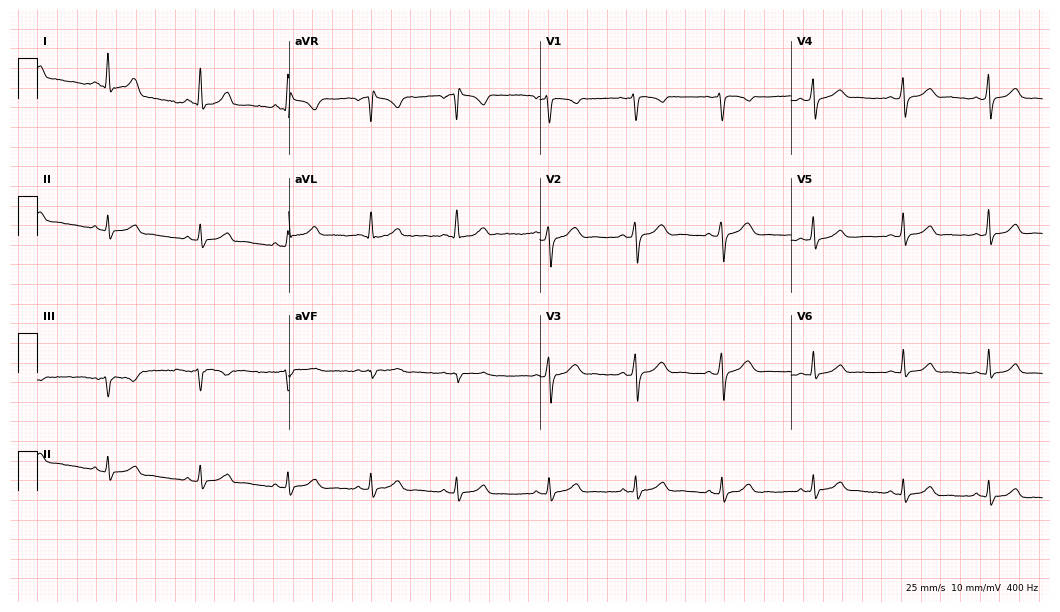
12-lead ECG from a 31-year-old woman. Recorded interpretation: within normal limits.